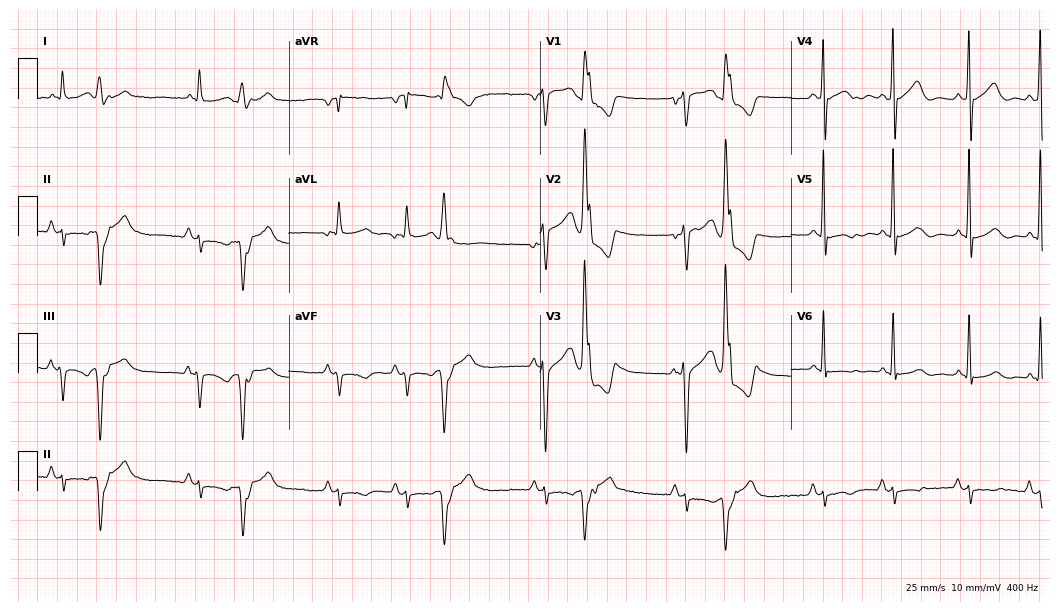
Electrocardiogram, a 78-year-old female. Of the six screened findings (first-degree AV block, right bundle branch block, left bundle branch block, sinus bradycardia, atrial fibrillation, sinus tachycardia), none is recorded. Only these six findings were labelled.